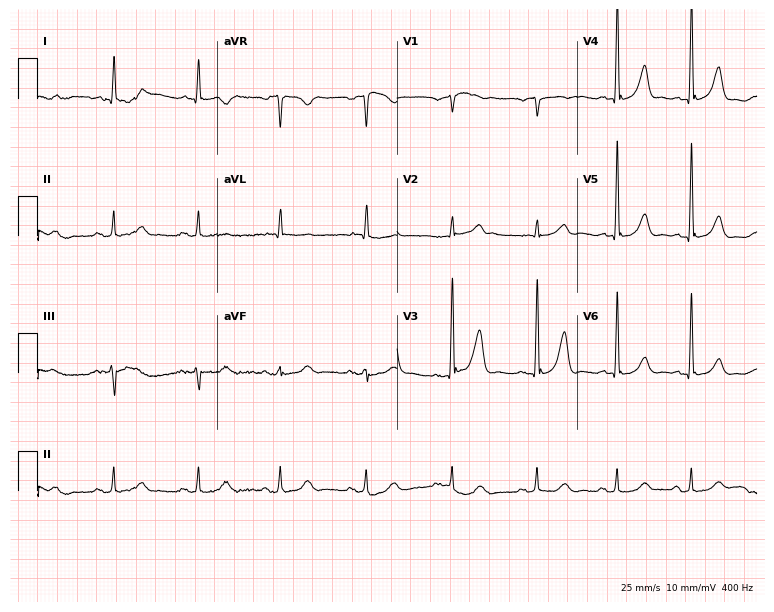
12-lead ECG from a 67-year-old man. Recorded interpretation: within normal limits.